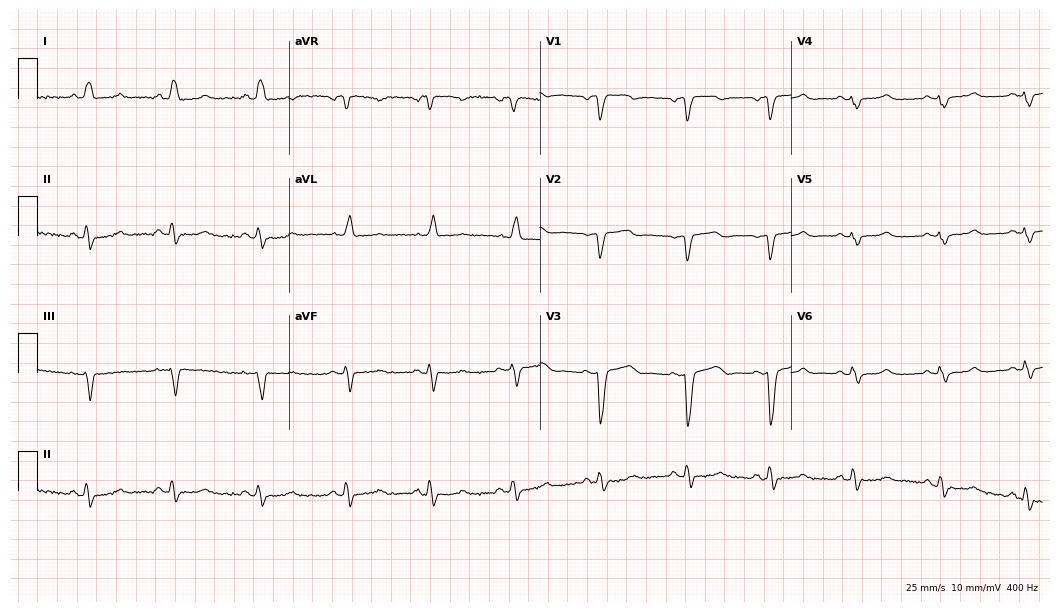
12-lead ECG from a female, 47 years old. Shows left bundle branch block (LBBB).